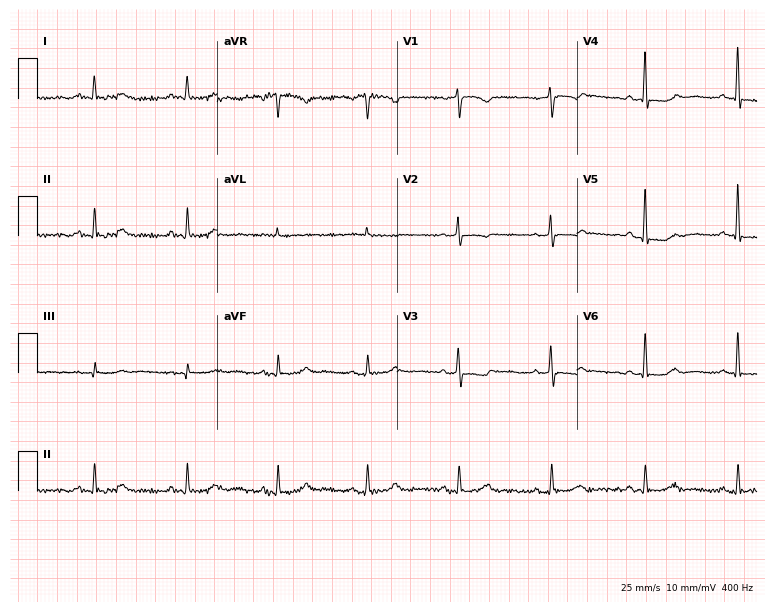
12-lead ECG from a female, 64 years old. Screened for six findings — first-degree AV block, right bundle branch block, left bundle branch block, sinus bradycardia, atrial fibrillation, sinus tachycardia — none is recorded.